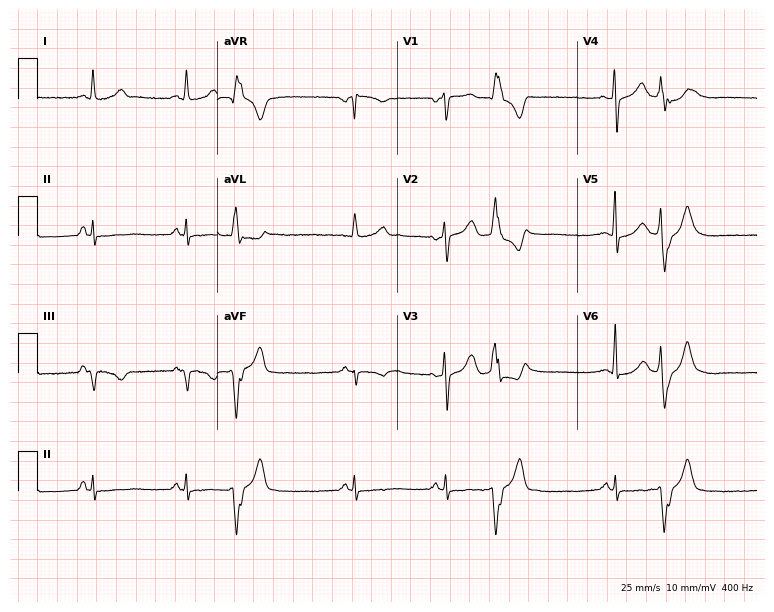
Standard 12-lead ECG recorded from a female patient, 41 years old (7.3-second recording at 400 Hz). None of these six findings is recorded: first-degree AV block, right bundle branch block, left bundle branch block, sinus bradycardia, atrial fibrillation, sinus tachycardia. Other findings, if any, are not listed.